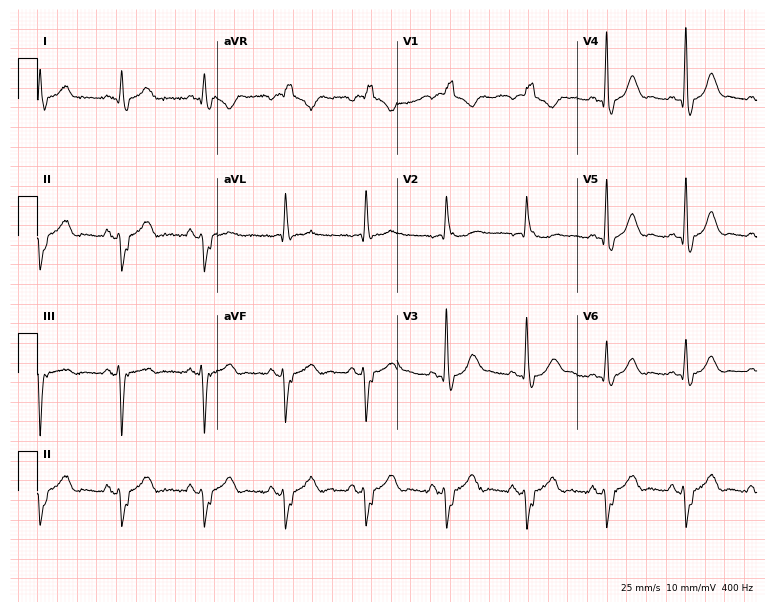
ECG (7.3-second recording at 400 Hz) — a male, 72 years old. Findings include right bundle branch block.